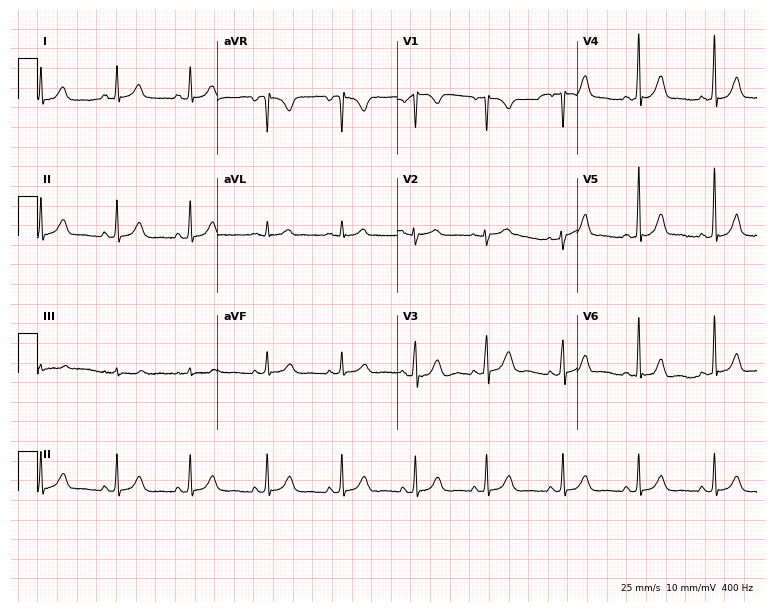
12-lead ECG (7.3-second recording at 400 Hz) from a female, 29 years old. Labelled as a normal ECG.